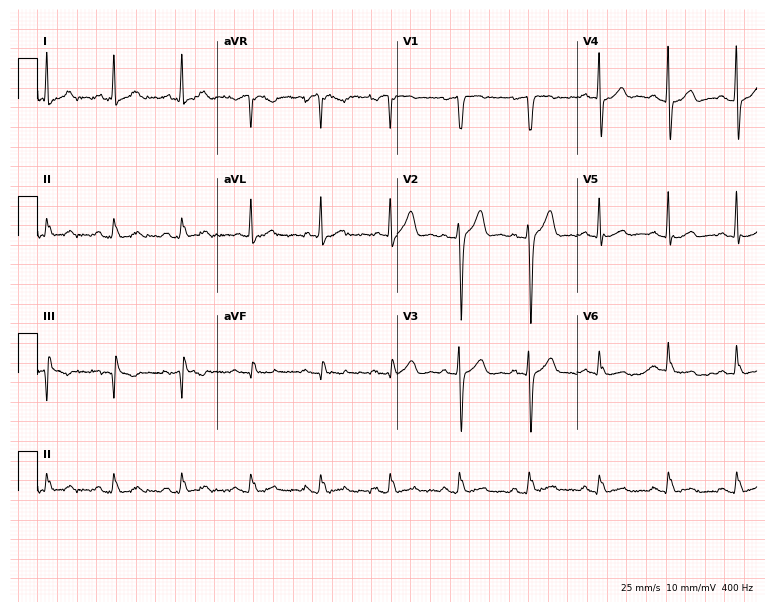
Standard 12-lead ECG recorded from a male patient, 63 years old. None of these six findings is recorded: first-degree AV block, right bundle branch block, left bundle branch block, sinus bradycardia, atrial fibrillation, sinus tachycardia.